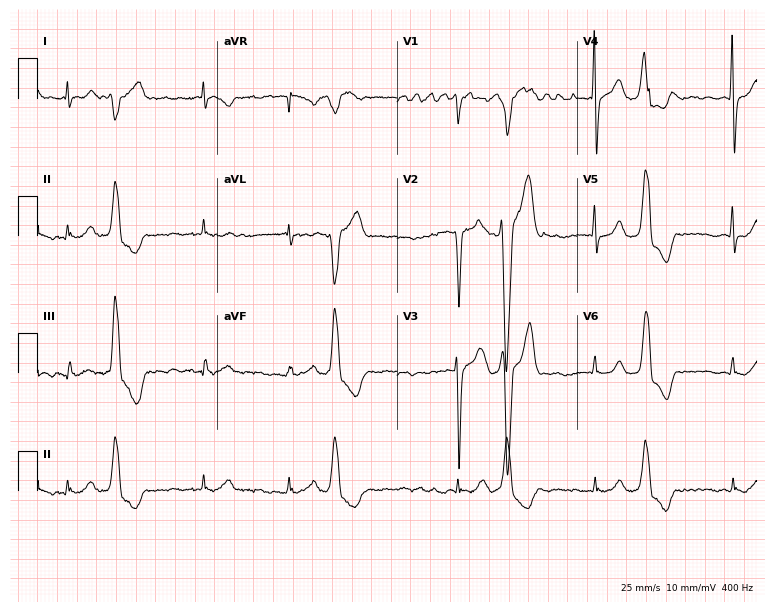
ECG — a male, 58 years old. Findings include atrial fibrillation (AF).